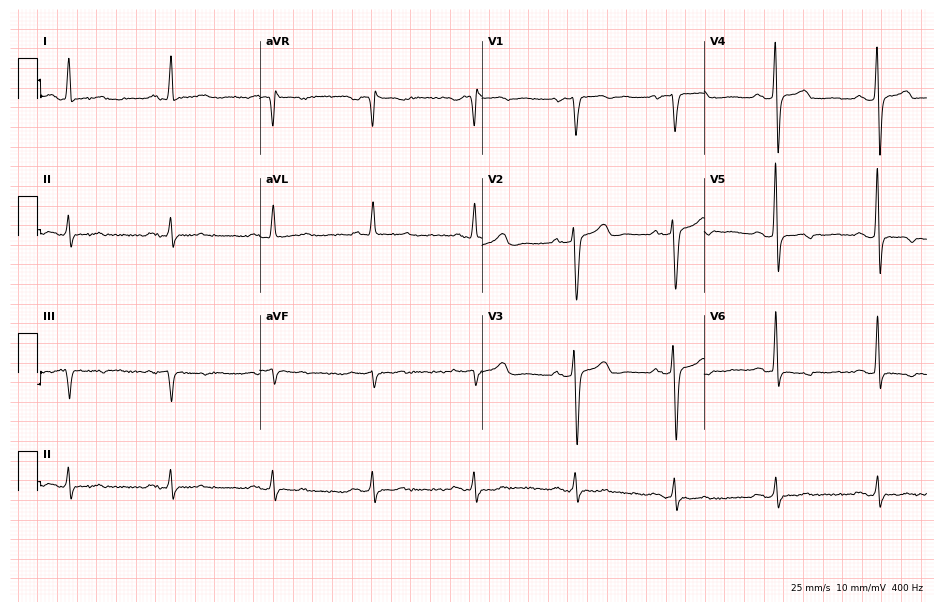
ECG (9.1-second recording at 400 Hz) — a male, 68 years old. Findings include first-degree AV block, left bundle branch block (LBBB).